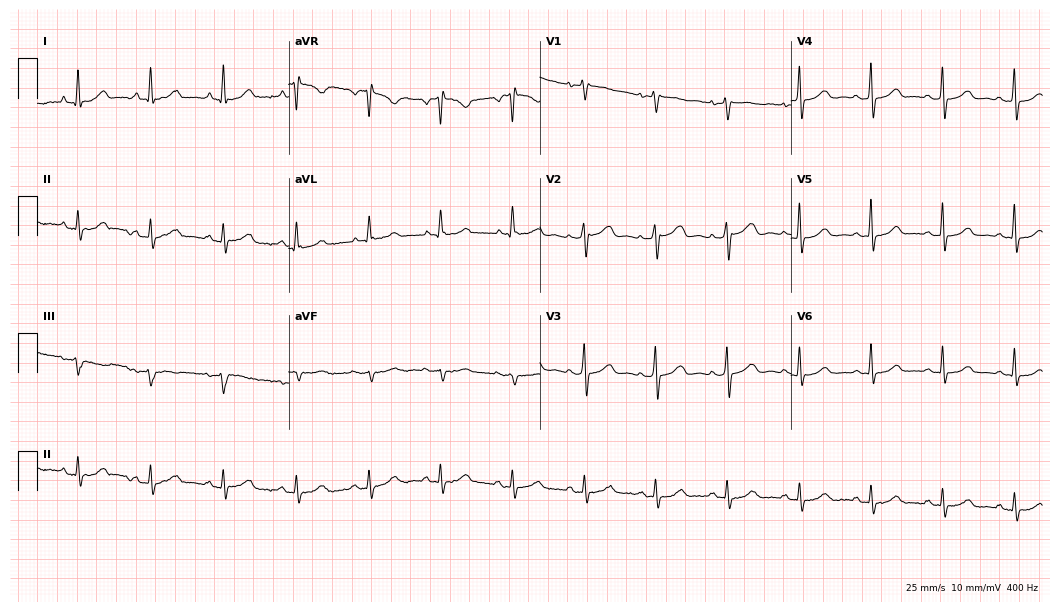
ECG (10.2-second recording at 400 Hz) — a 42-year-old female patient. Screened for six findings — first-degree AV block, right bundle branch block (RBBB), left bundle branch block (LBBB), sinus bradycardia, atrial fibrillation (AF), sinus tachycardia — none is recorded. Other findings, if any, are not listed.